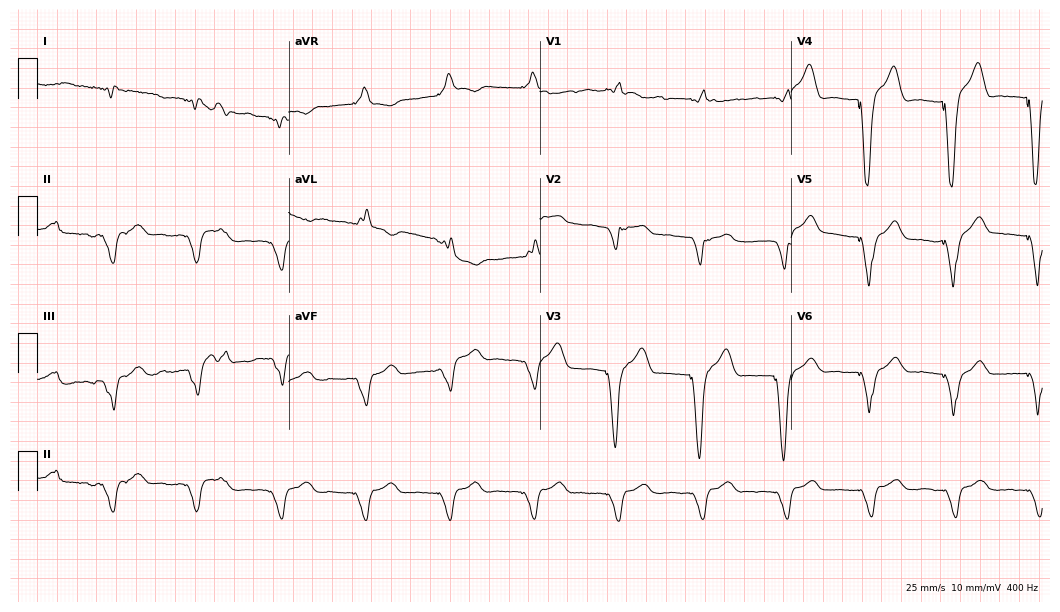
Standard 12-lead ECG recorded from an 81-year-old male (10.2-second recording at 400 Hz). None of these six findings is recorded: first-degree AV block, right bundle branch block, left bundle branch block, sinus bradycardia, atrial fibrillation, sinus tachycardia.